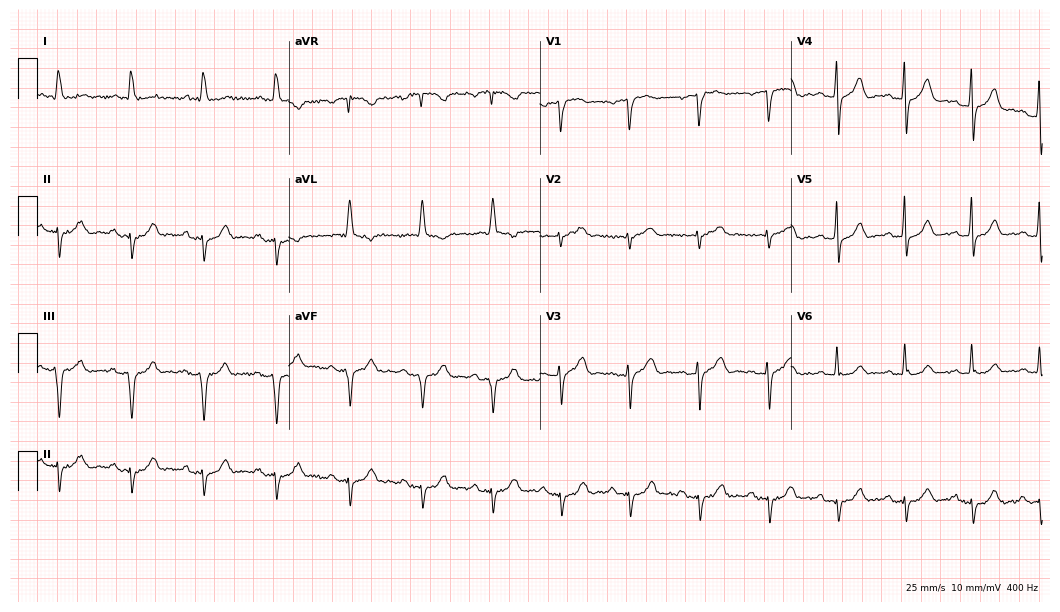
Electrocardiogram (10.2-second recording at 400 Hz), a 68-year-old male patient. Of the six screened findings (first-degree AV block, right bundle branch block, left bundle branch block, sinus bradycardia, atrial fibrillation, sinus tachycardia), none is recorded. Only these six findings were labelled.